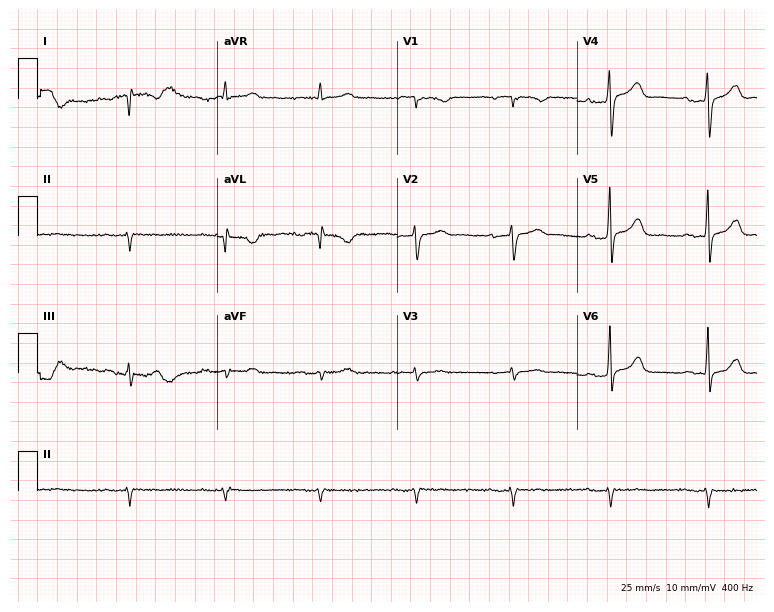
12-lead ECG from a male, 80 years old. No first-degree AV block, right bundle branch block, left bundle branch block, sinus bradycardia, atrial fibrillation or sinus tachycardia recorded for this tracing.